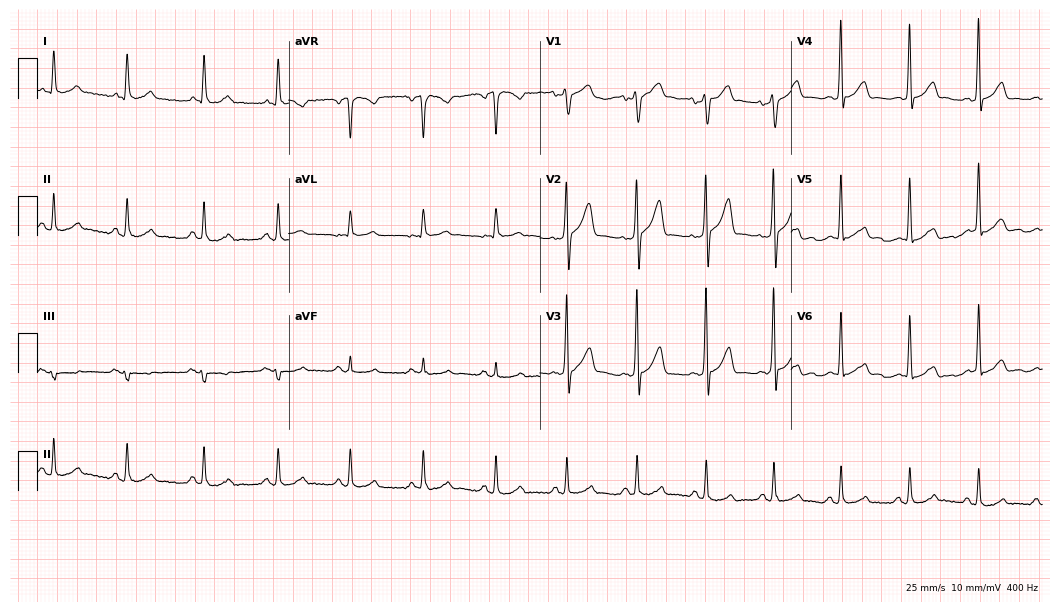
12-lead ECG from a man, 58 years old (10.2-second recording at 400 Hz). Recorded interpretation: within normal limits.